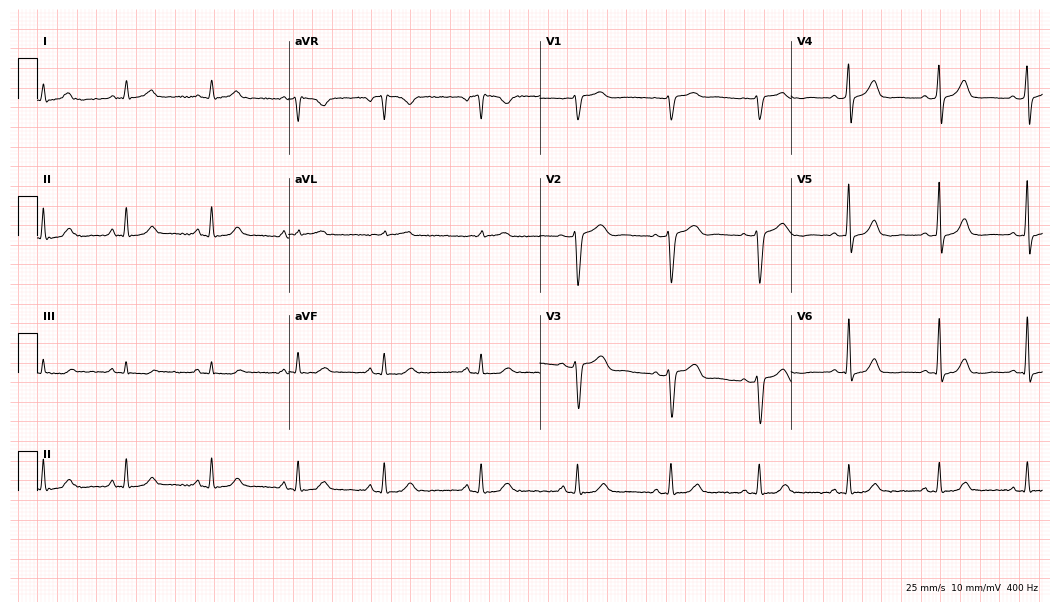
Resting 12-lead electrocardiogram. Patient: a female, 69 years old. Read as a normal ECG.